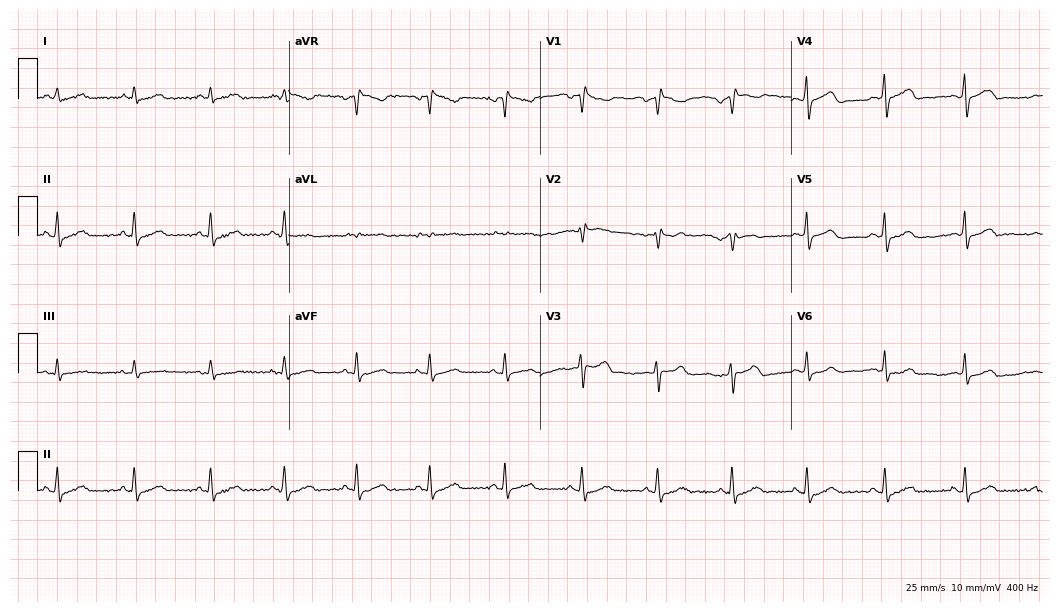
Resting 12-lead electrocardiogram. Patient: a male, 60 years old. None of these six findings is recorded: first-degree AV block, right bundle branch block, left bundle branch block, sinus bradycardia, atrial fibrillation, sinus tachycardia.